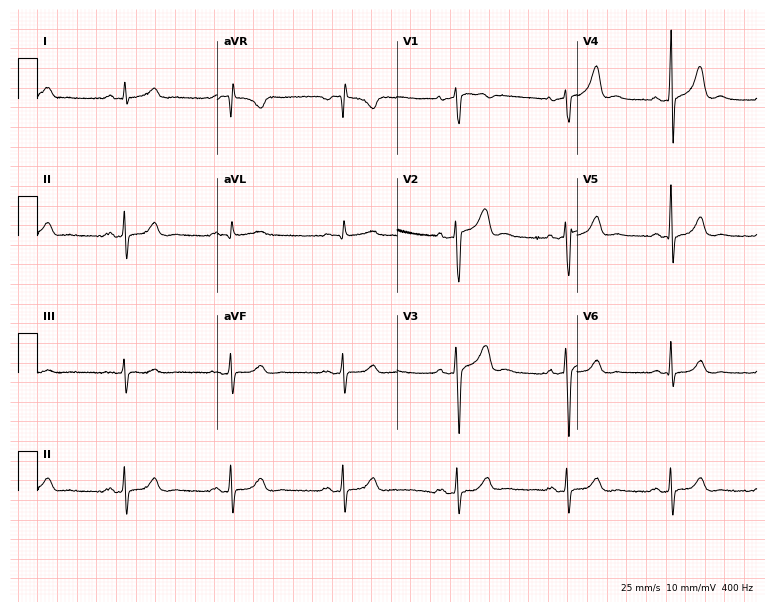
12-lead ECG from a male patient, 44 years old. Labelled as a normal ECG.